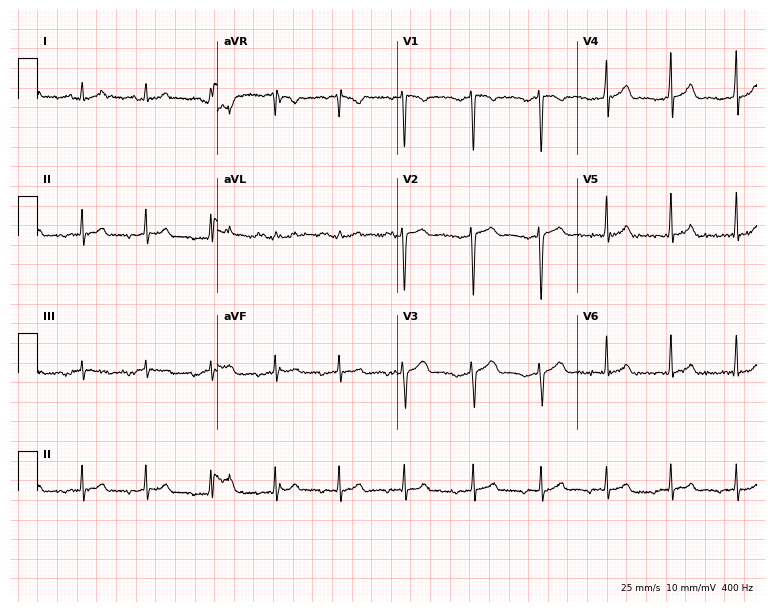
Resting 12-lead electrocardiogram. Patient: a 35-year-old male. None of these six findings is recorded: first-degree AV block, right bundle branch block, left bundle branch block, sinus bradycardia, atrial fibrillation, sinus tachycardia.